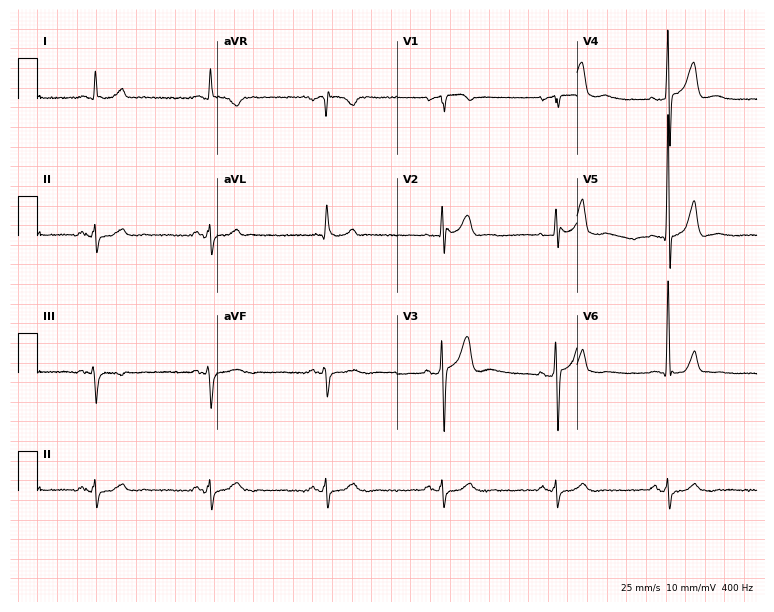
Standard 12-lead ECG recorded from a male patient, 64 years old (7.3-second recording at 400 Hz). None of these six findings is recorded: first-degree AV block, right bundle branch block, left bundle branch block, sinus bradycardia, atrial fibrillation, sinus tachycardia. Only these six findings were labelled.